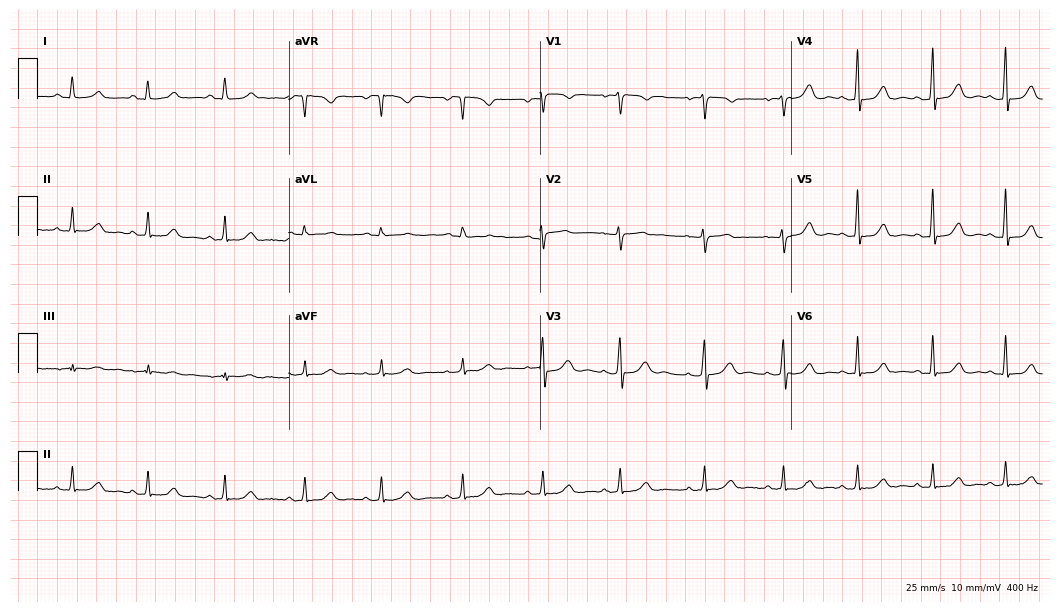
12-lead ECG from a female, 38 years old. Labelled as a normal ECG.